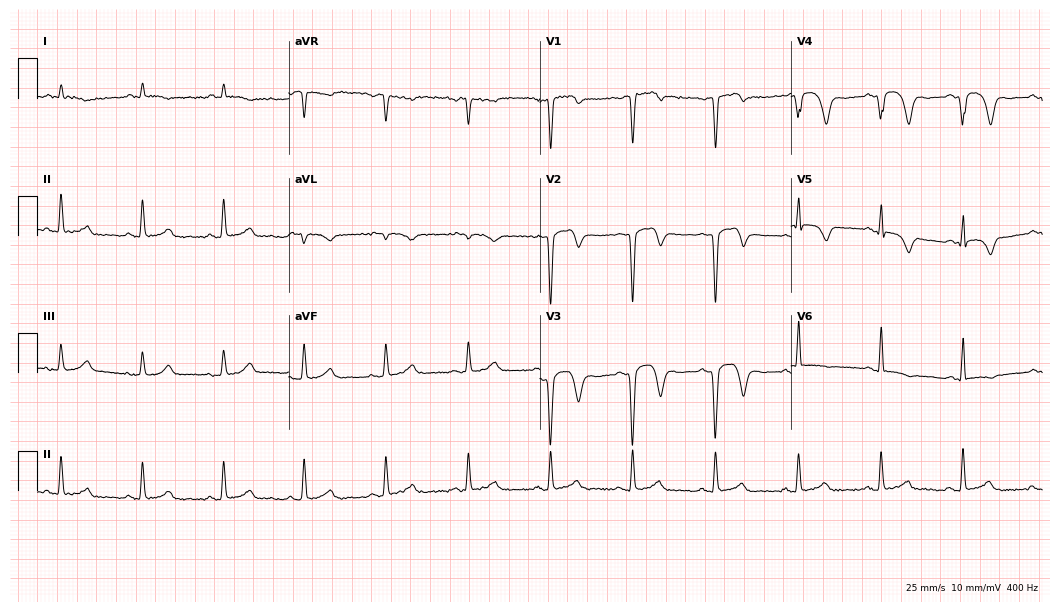
12-lead ECG from a 69-year-old male (10.2-second recording at 400 Hz). No first-degree AV block, right bundle branch block (RBBB), left bundle branch block (LBBB), sinus bradycardia, atrial fibrillation (AF) or sinus tachycardia recorded for this tracing. Only these six findings were labelled.